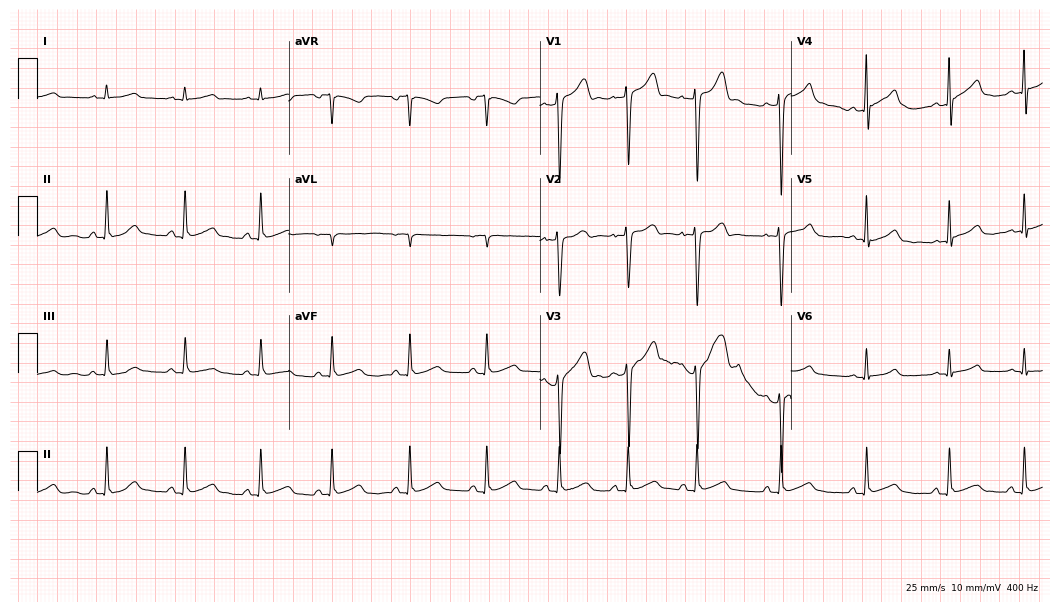
Electrocardiogram (10.2-second recording at 400 Hz), a male, 17 years old. Overall reading on record: normal ECG.